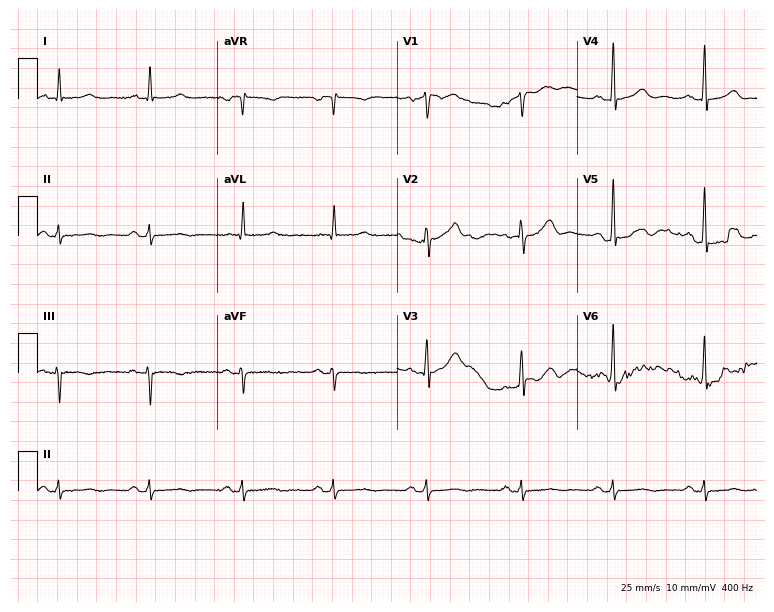
12-lead ECG from an 85-year-old man. No first-degree AV block, right bundle branch block, left bundle branch block, sinus bradycardia, atrial fibrillation or sinus tachycardia recorded for this tracing.